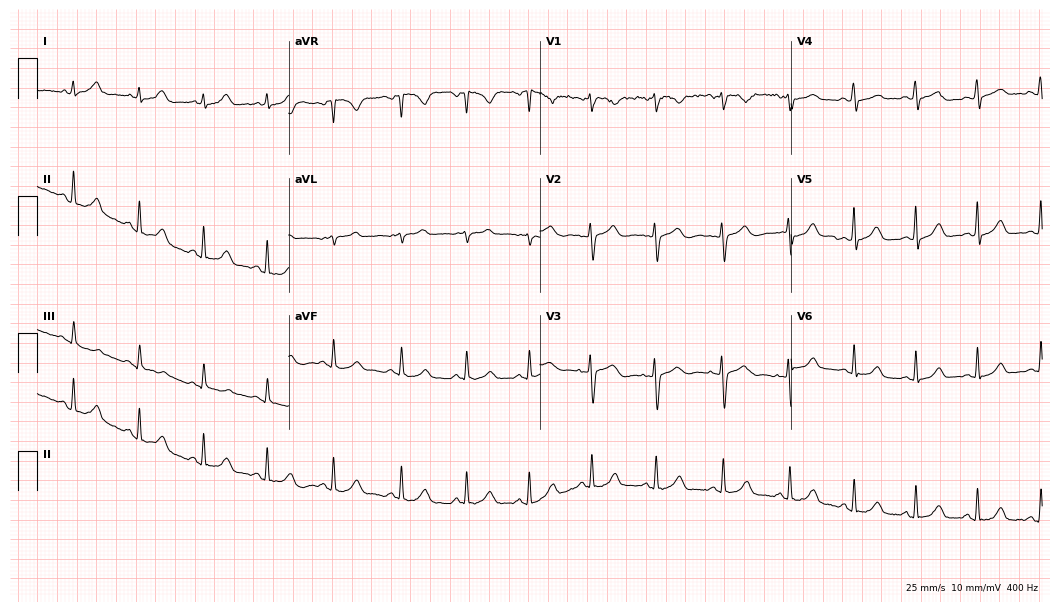
12-lead ECG (10.2-second recording at 400 Hz) from a 28-year-old female patient. Labelled as a normal ECG.